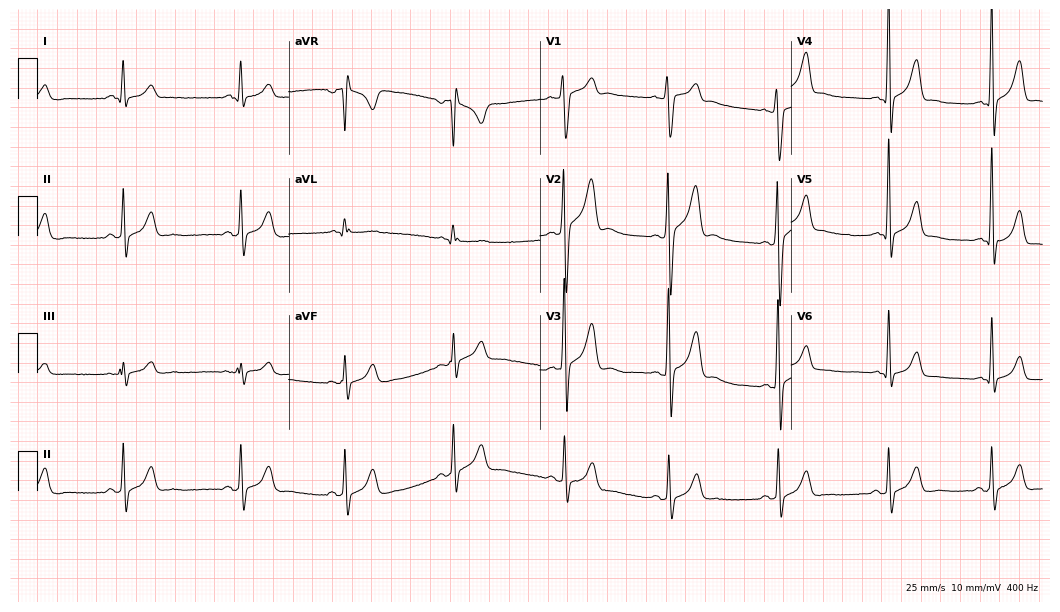
ECG — a male, 18 years old. Screened for six findings — first-degree AV block, right bundle branch block, left bundle branch block, sinus bradycardia, atrial fibrillation, sinus tachycardia — none is recorded. Findings outside these six are not listed.